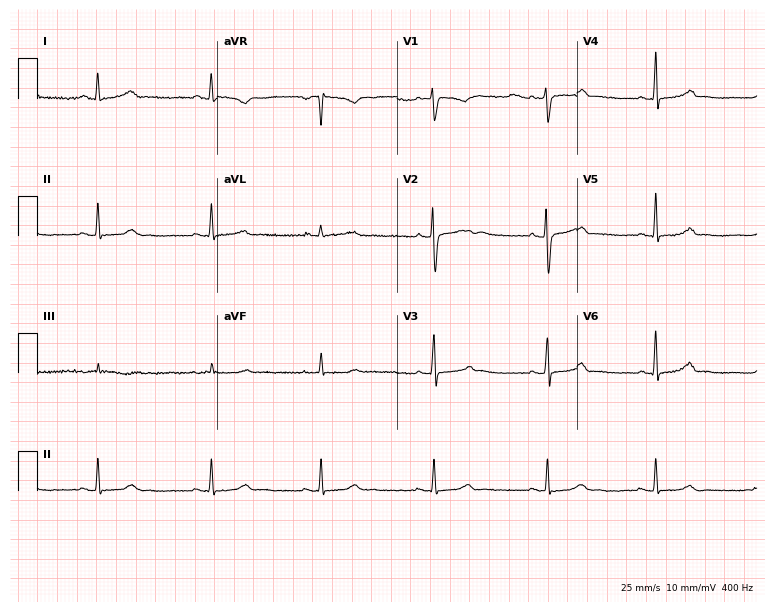
12-lead ECG (7.3-second recording at 400 Hz) from a 25-year-old woman. Screened for six findings — first-degree AV block, right bundle branch block, left bundle branch block, sinus bradycardia, atrial fibrillation, sinus tachycardia — none is recorded.